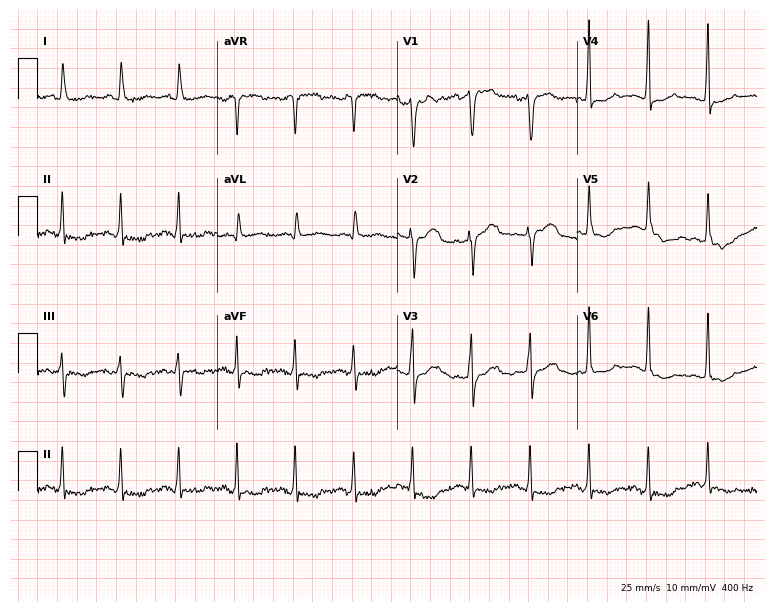
Electrocardiogram (7.3-second recording at 400 Hz), a 41-year-old female patient. Of the six screened findings (first-degree AV block, right bundle branch block (RBBB), left bundle branch block (LBBB), sinus bradycardia, atrial fibrillation (AF), sinus tachycardia), none is recorded. Other findings, if any, are not listed.